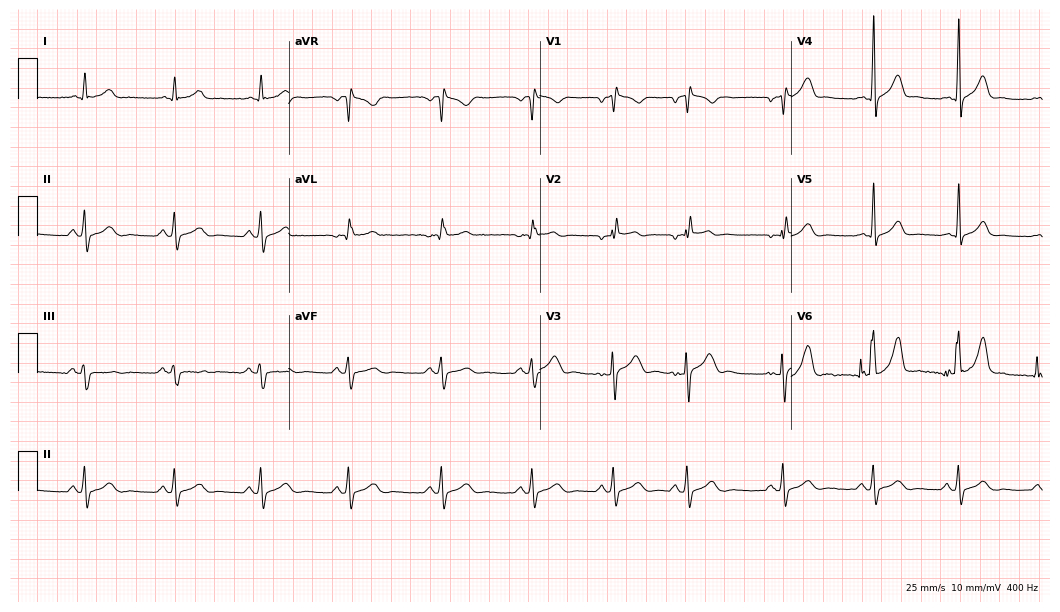
Resting 12-lead electrocardiogram (10.2-second recording at 400 Hz). Patient: a 24-year-old male. None of these six findings is recorded: first-degree AV block, right bundle branch block, left bundle branch block, sinus bradycardia, atrial fibrillation, sinus tachycardia.